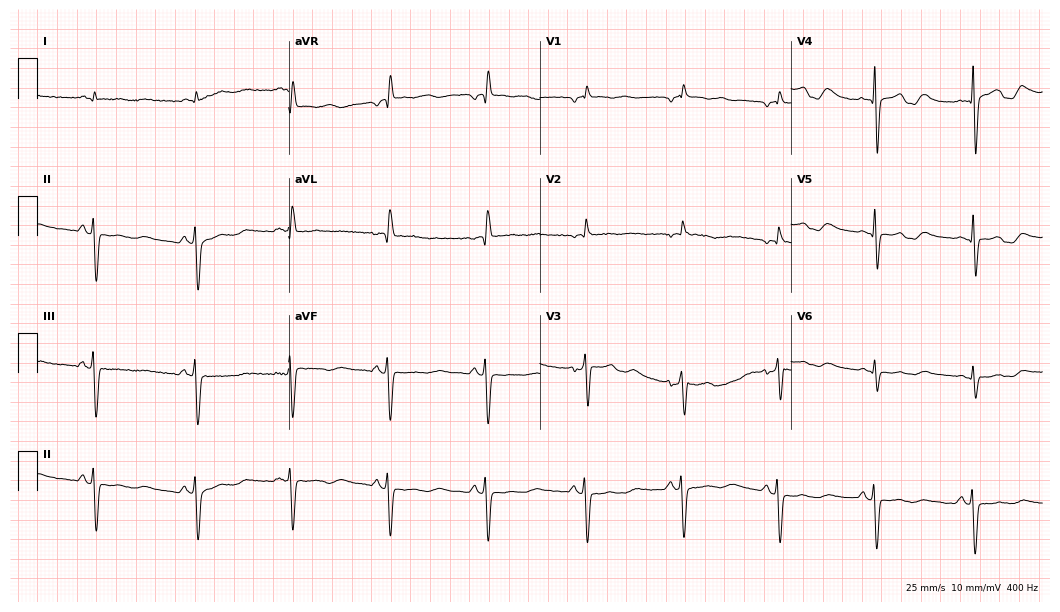
Electrocardiogram, a man, 67 years old. Of the six screened findings (first-degree AV block, right bundle branch block, left bundle branch block, sinus bradycardia, atrial fibrillation, sinus tachycardia), none is recorded. Only these six findings were labelled.